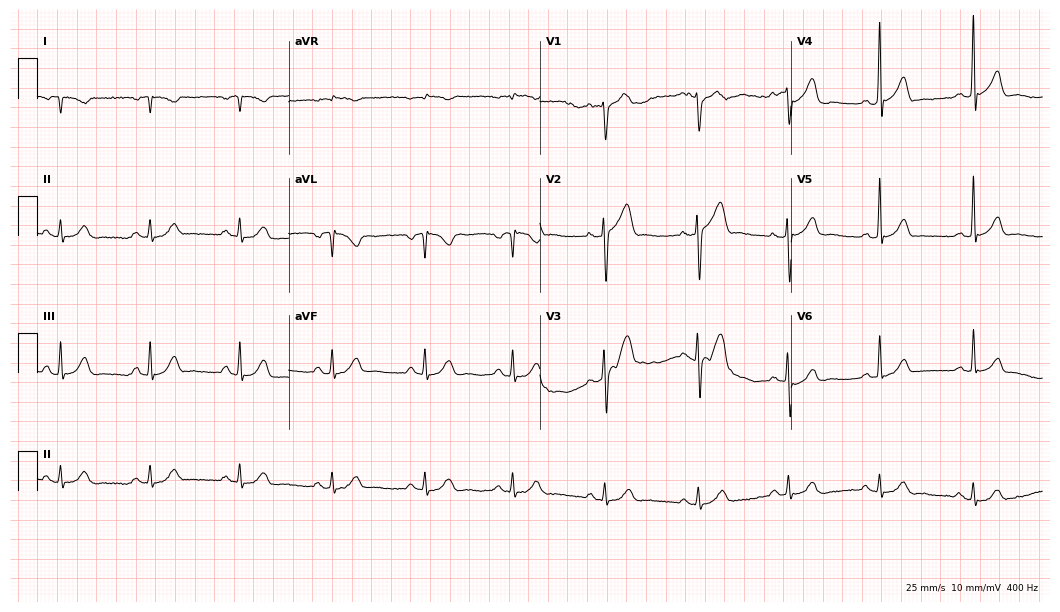
Electrocardiogram, a 65-year-old man. Of the six screened findings (first-degree AV block, right bundle branch block (RBBB), left bundle branch block (LBBB), sinus bradycardia, atrial fibrillation (AF), sinus tachycardia), none is recorded. Only these six findings were labelled.